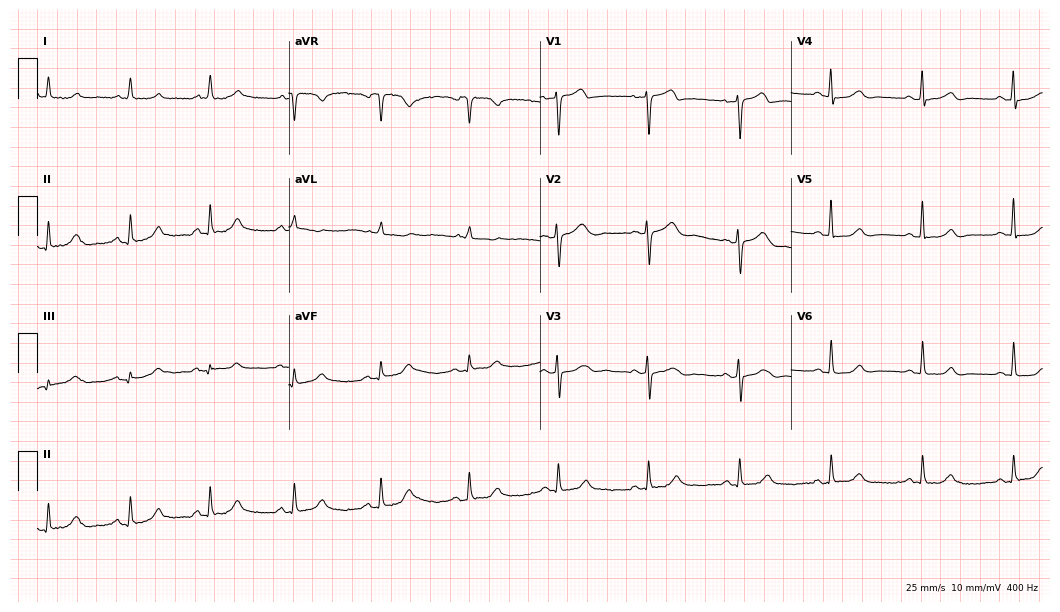
Electrocardiogram, an 80-year-old female. Of the six screened findings (first-degree AV block, right bundle branch block (RBBB), left bundle branch block (LBBB), sinus bradycardia, atrial fibrillation (AF), sinus tachycardia), none is recorded.